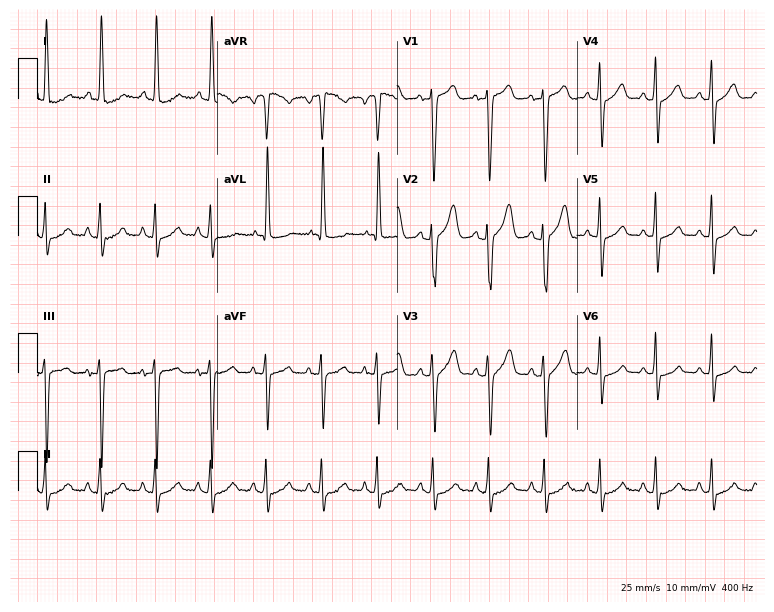
Standard 12-lead ECG recorded from a female patient, 76 years old (7.3-second recording at 400 Hz). The tracing shows sinus tachycardia (a sinus rate of 100 beats per minute or more).